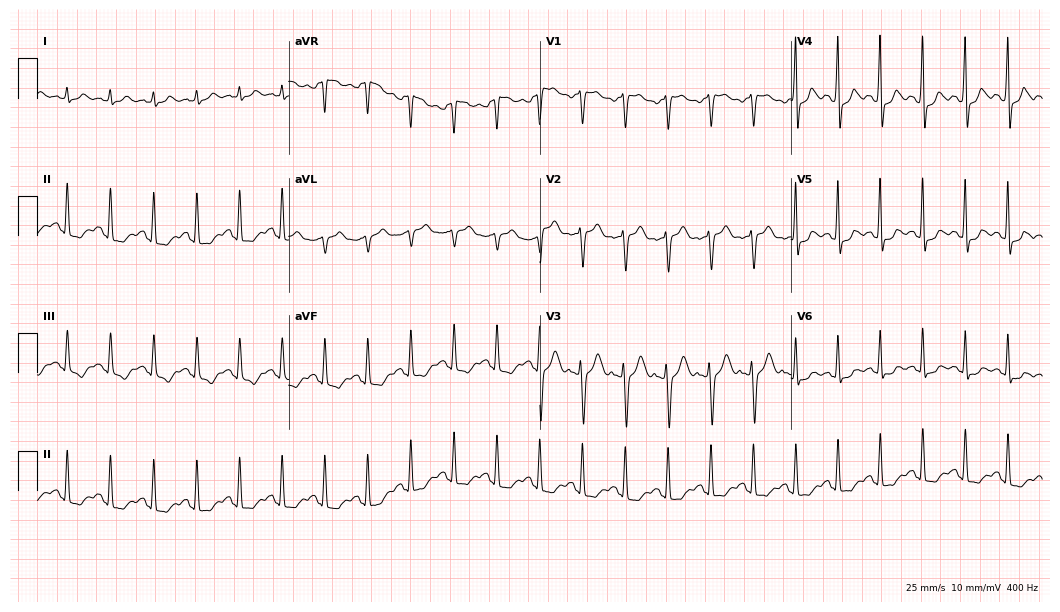
Resting 12-lead electrocardiogram. Patient: a 57-year-old female. The tracing shows sinus tachycardia (a sinus rate of 100 beats per minute or more).